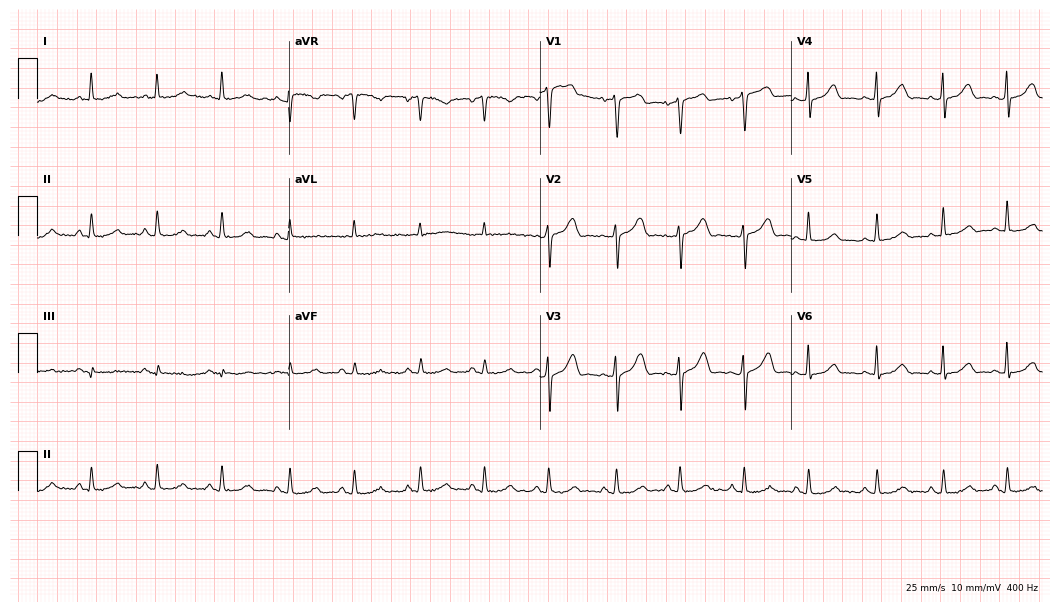
Electrocardiogram, a 65-year-old female patient. Overall reading on record: normal ECG.